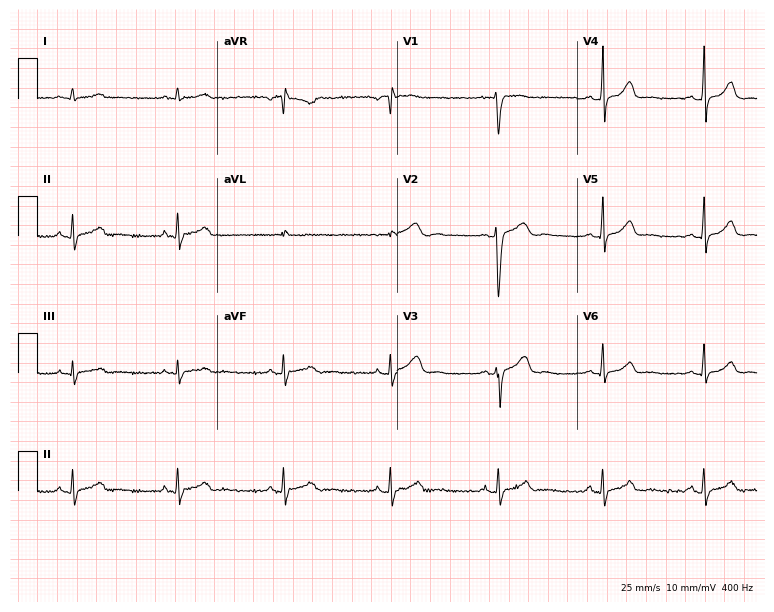
Resting 12-lead electrocardiogram (7.3-second recording at 400 Hz). Patient: a 23-year-old female. None of these six findings is recorded: first-degree AV block, right bundle branch block, left bundle branch block, sinus bradycardia, atrial fibrillation, sinus tachycardia. Findings outside these six are not listed.